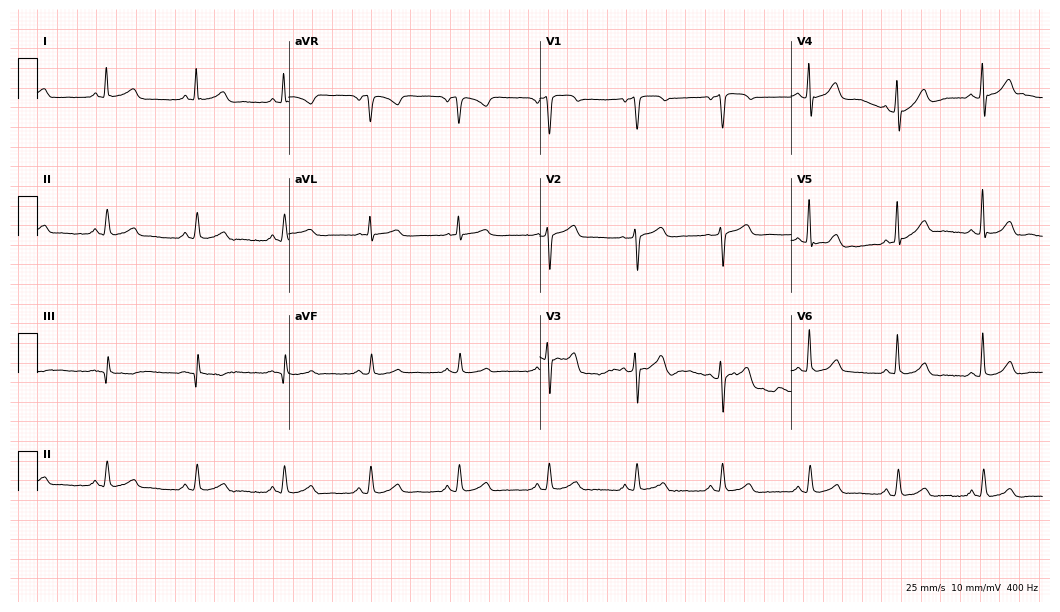
Standard 12-lead ECG recorded from a male patient, 62 years old. Read as a normal ECG.